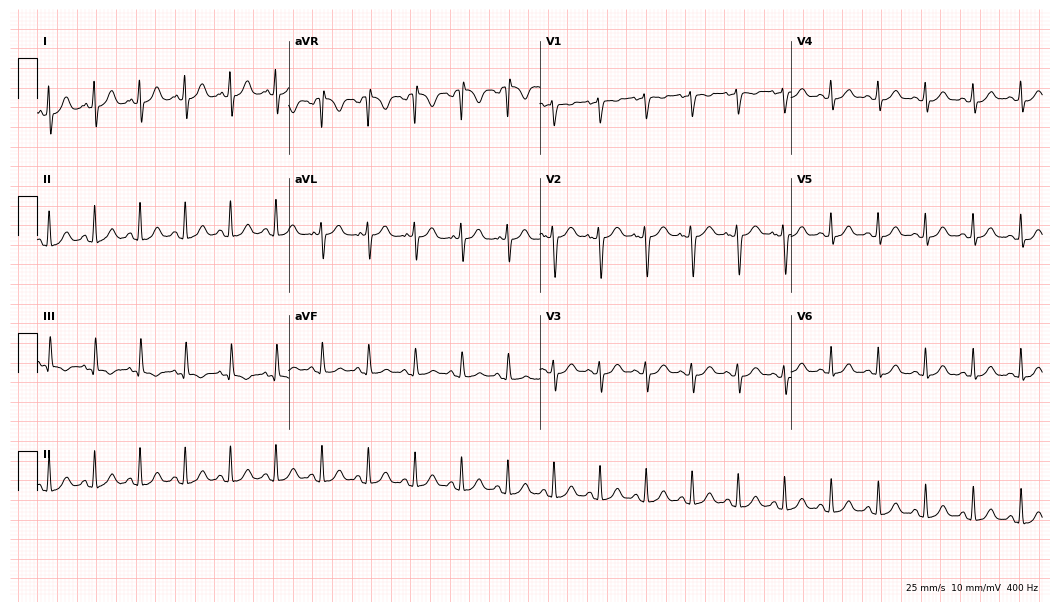
ECG — a female, 35 years old. Findings include sinus tachycardia (a sinus rate of 100 beats per minute or more).